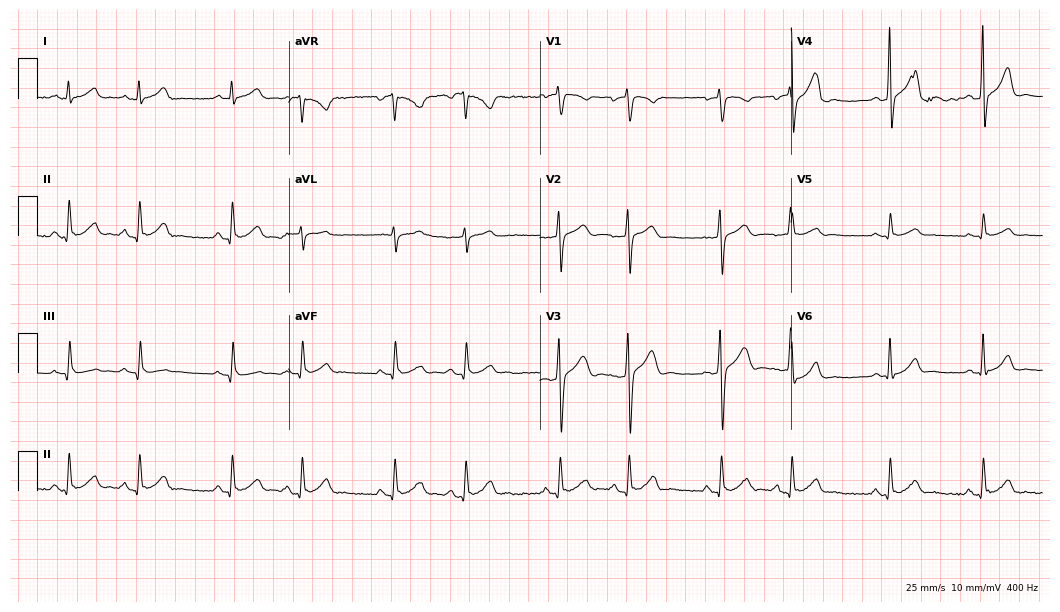
12-lead ECG from a man, 32 years old. Screened for six findings — first-degree AV block, right bundle branch block, left bundle branch block, sinus bradycardia, atrial fibrillation, sinus tachycardia — none is recorded. Other findings, if any, are not listed.